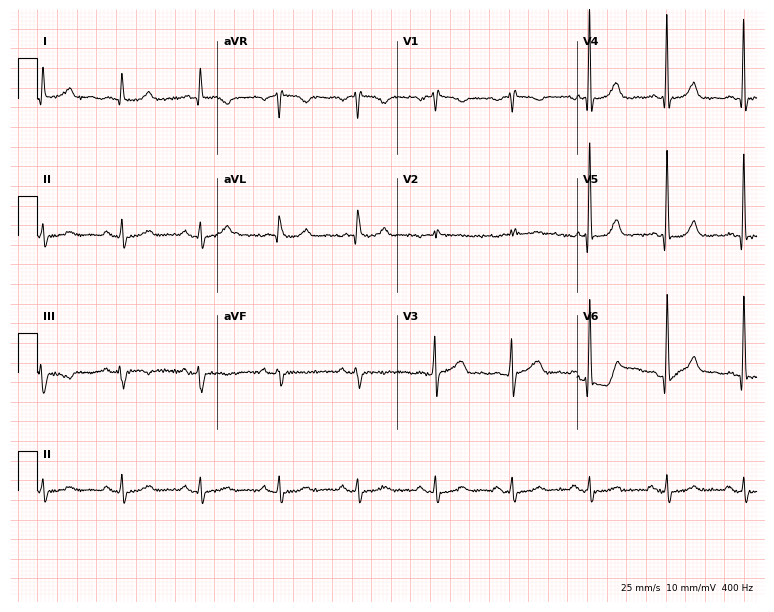
Electrocardiogram (7.3-second recording at 400 Hz), a male, 71 years old. Of the six screened findings (first-degree AV block, right bundle branch block, left bundle branch block, sinus bradycardia, atrial fibrillation, sinus tachycardia), none is recorded.